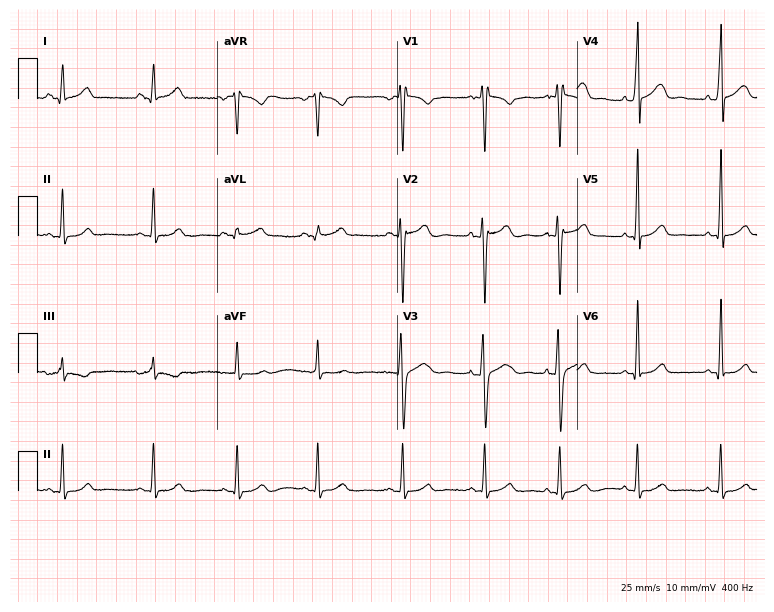
ECG (7.3-second recording at 400 Hz) — a male, 23 years old. Labelled as a normal ECG.